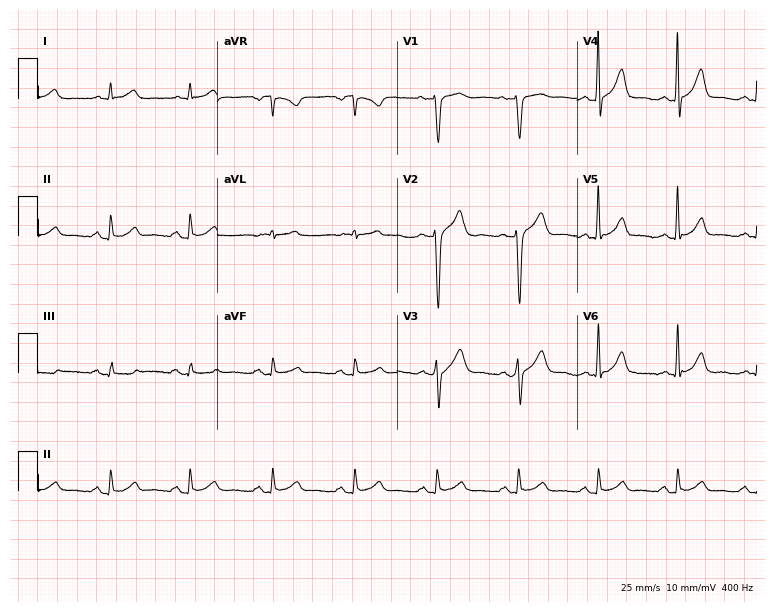
Resting 12-lead electrocardiogram (7.3-second recording at 400 Hz). Patient: a male, 48 years old. Read as a normal ECG.